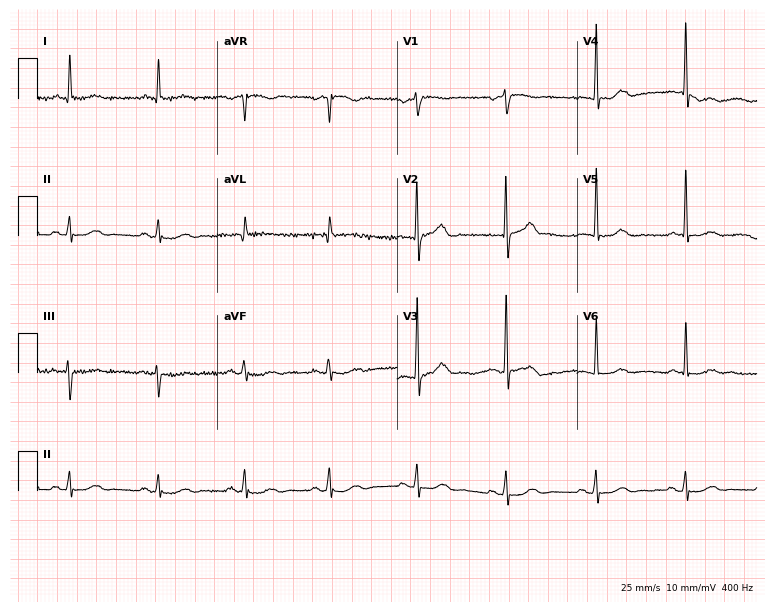
Resting 12-lead electrocardiogram (7.3-second recording at 400 Hz). Patient: a 75-year-old man. Read as a normal ECG.